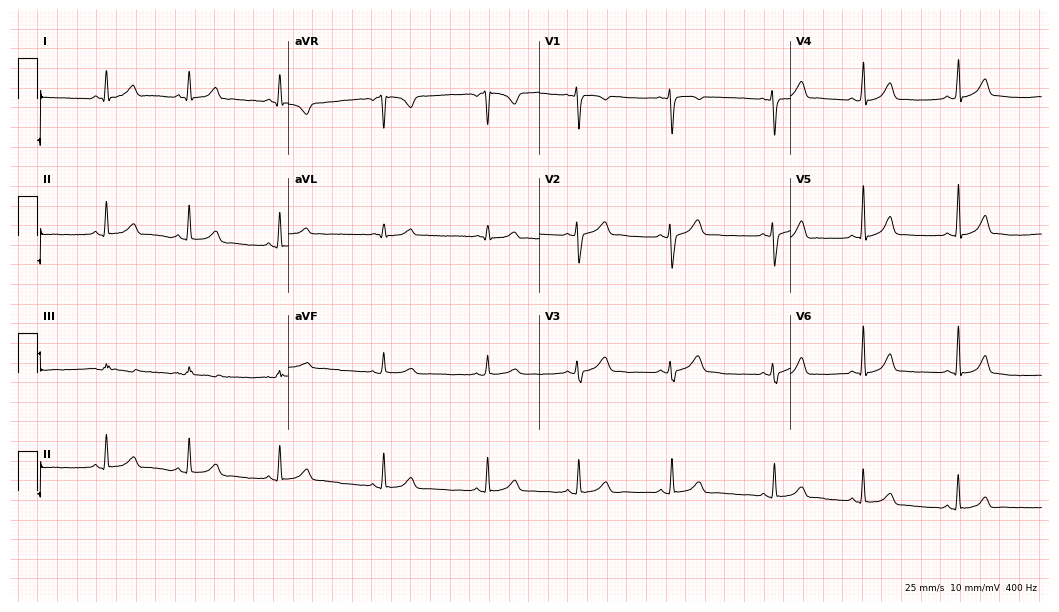
Electrocardiogram, a female, 25 years old. Overall reading on record: normal ECG.